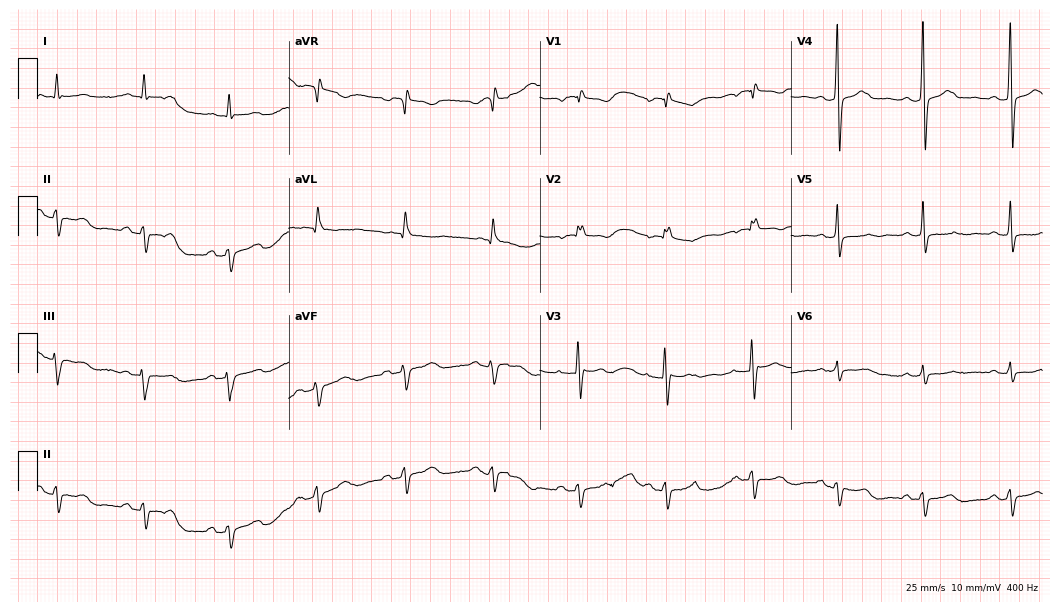
Electrocardiogram, a woman, 56 years old. Of the six screened findings (first-degree AV block, right bundle branch block (RBBB), left bundle branch block (LBBB), sinus bradycardia, atrial fibrillation (AF), sinus tachycardia), none is recorded. Only these six findings were labelled.